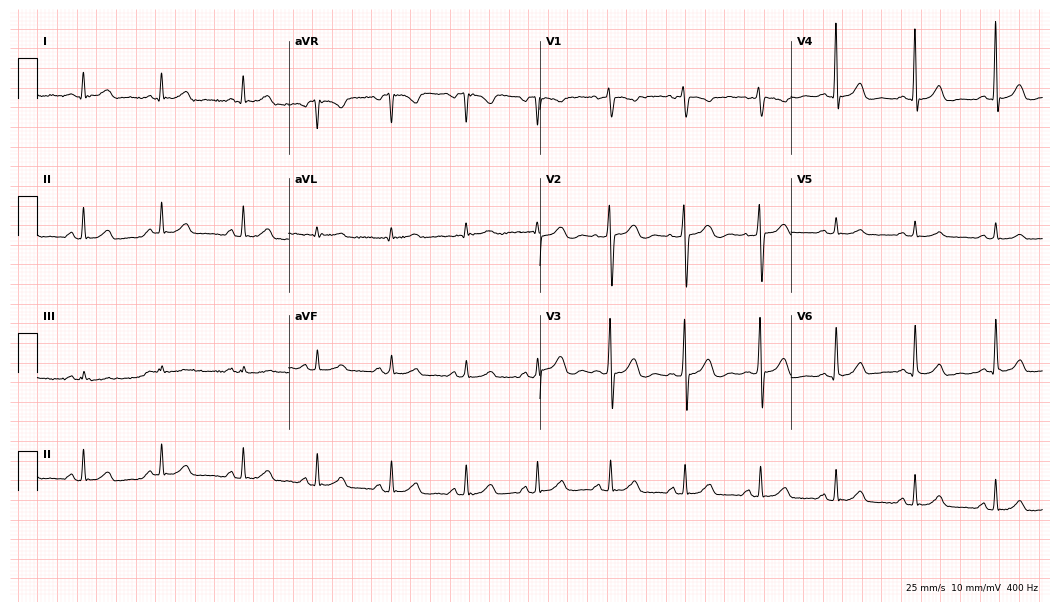
12-lead ECG from a 53-year-old female. Recorded interpretation: within normal limits.